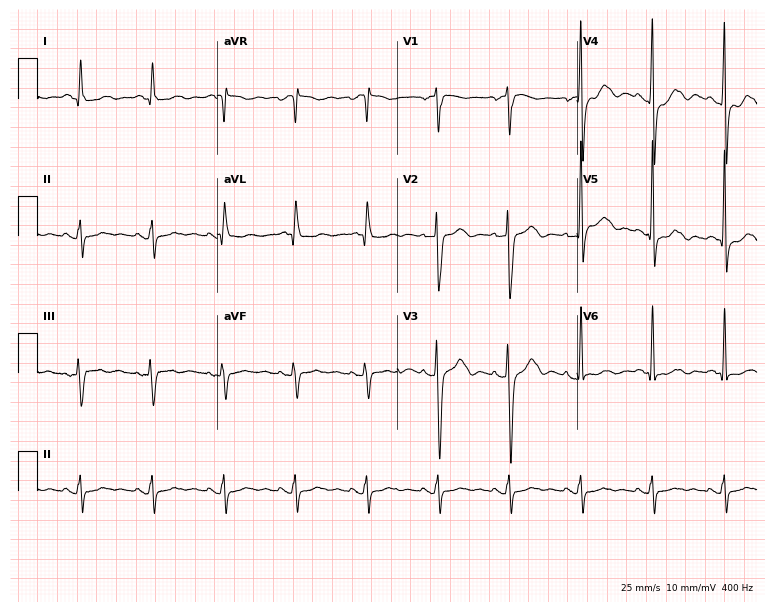
Standard 12-lead ECG recorded from a 42-year-old male. None of these six findings is recorded: first-degree AV block, right bundle branch block, left bundle branch block, sinus bradycardia, atrial fibrillation, sinus tachycardia.